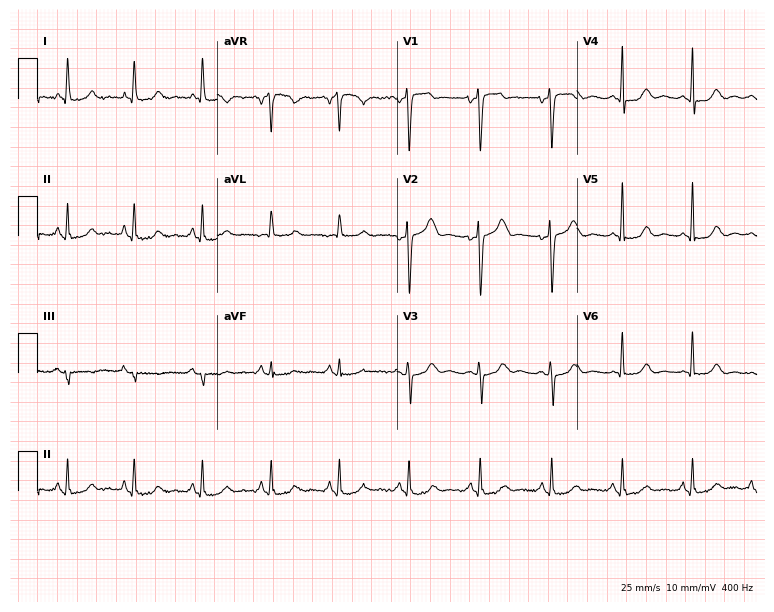
ECG (7.3-second recording at 400 Hz) — a 46-year-old female patient. Screened for six findings — first-degree AV block, right bundle branch block, left bundle branch block, sinus bradycardia, atrial fibrillation, sinus tachycardia — none is recorded. Other findings, if any, are not listed.